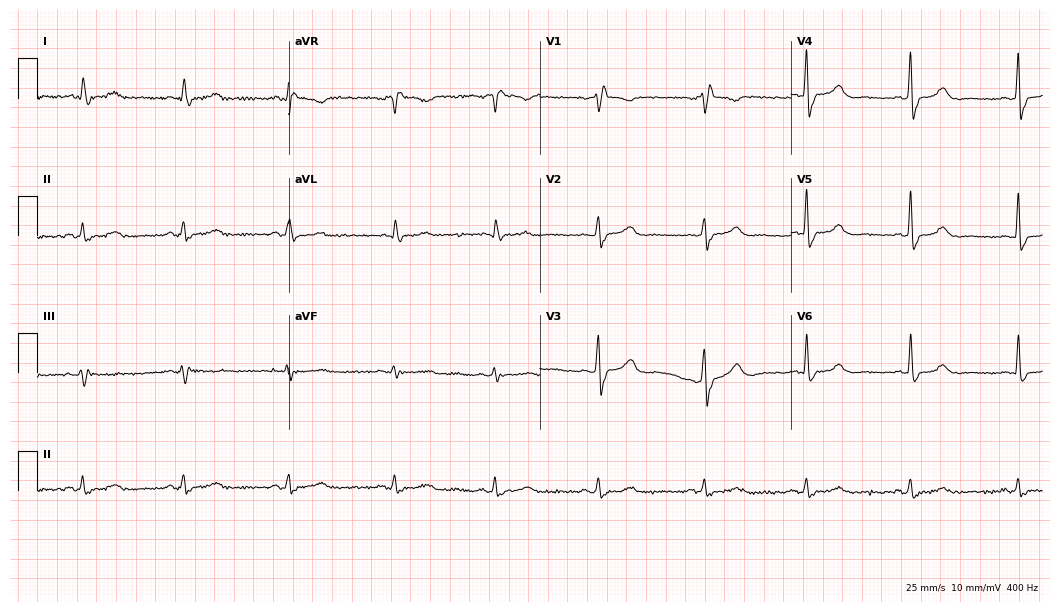
12-lead ECG from a female, 78 years old. Shows right bundle branch block.